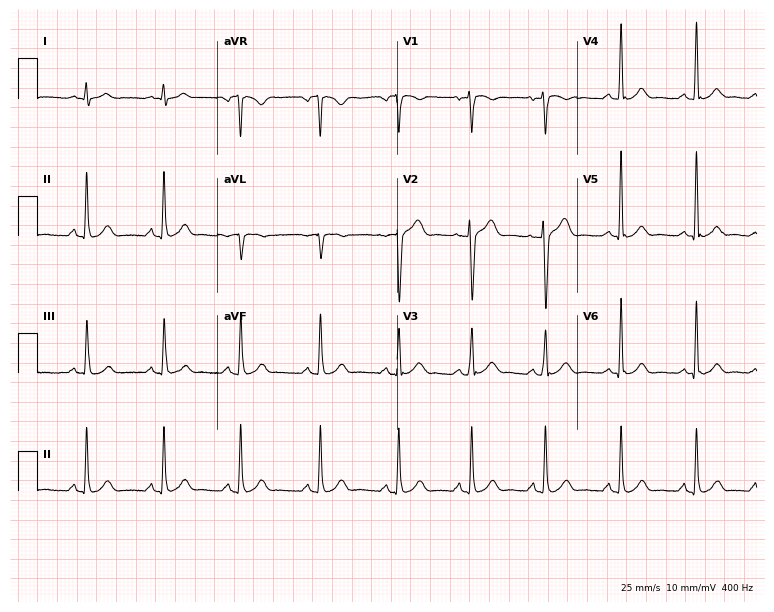
ECG (7.3-second recording at 400 Hz) — a 28-year-old male patient. Labelled as a normal ECG.